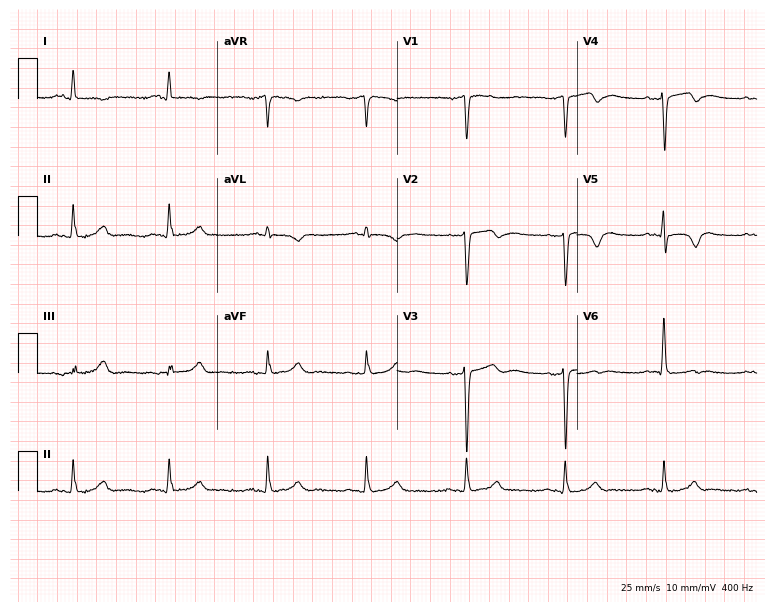
Electrocardiogram (7.3-second recording at 400 Hz), a 73-year-old female. Of the six screened findings (first-degree AV block, right bundle branch block (RBBB), left bundle branch block (LBBB), sinus bradycardia, atrial fibrillation (AF), sinus tachycardia), none is recorded. Other findings, if any, are not listed.